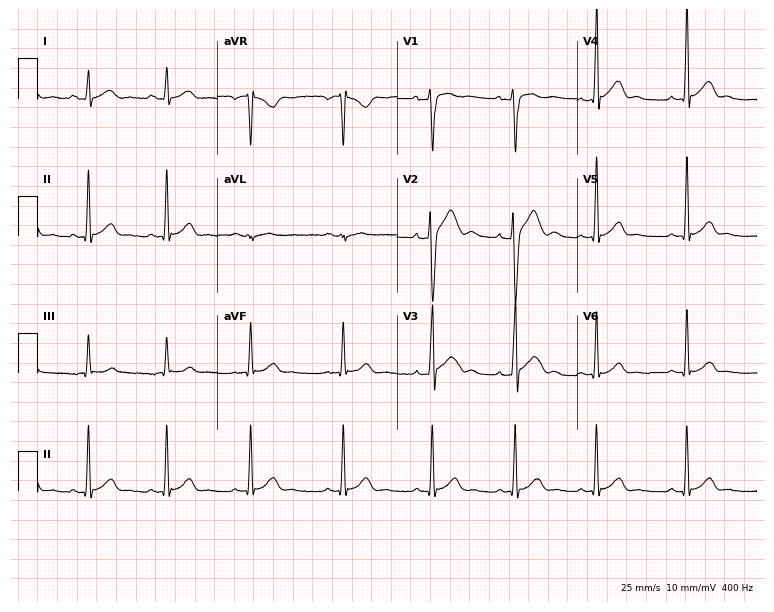
Resting 12-lead electrocardiogram (7.3-second recording at 400 Hz). Patient: a 25-year-old male. Read as a normal ECG.